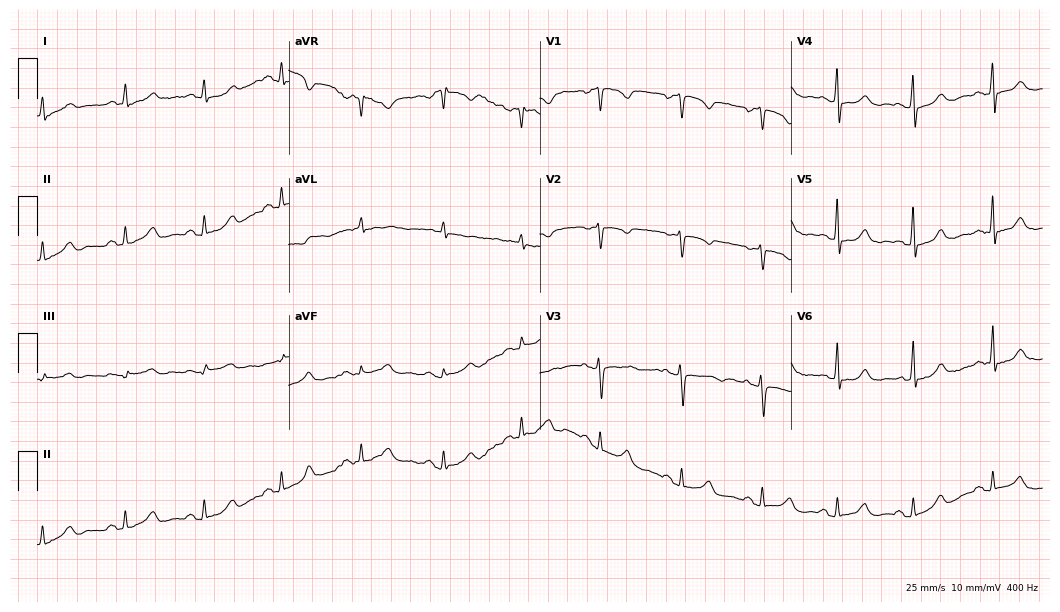
Electrocardiogram, a 45-year-old female patient. Of the six screened findings (first-degree AV block, right bundle branch block, left bundle branch block, sinus bradycardia, atrial fibrillation, sinus tachycardia), none is recorded. Findings outside these six are not listed.